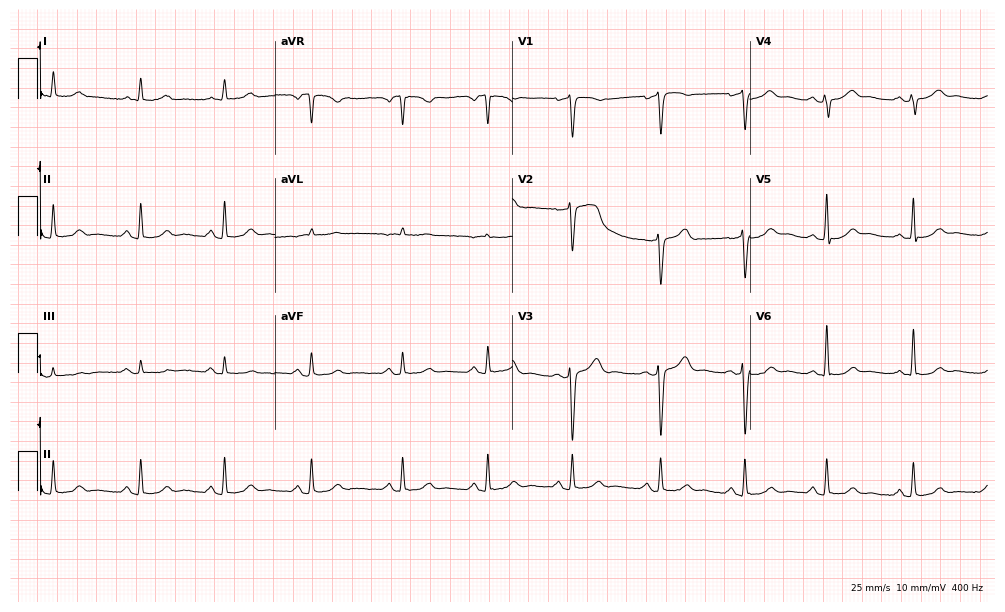
Resting 12-lead electrocardiogram (9.7-second recording at 400 Hz). Patient: a 57-year-old male. None of these six findings is recorded: first-degree AV block, right bundle branch block (RBBB), left bundle branch block (LBBB), sinus bradycardia, atrial fibrillation (AF), sinus tachycardia.